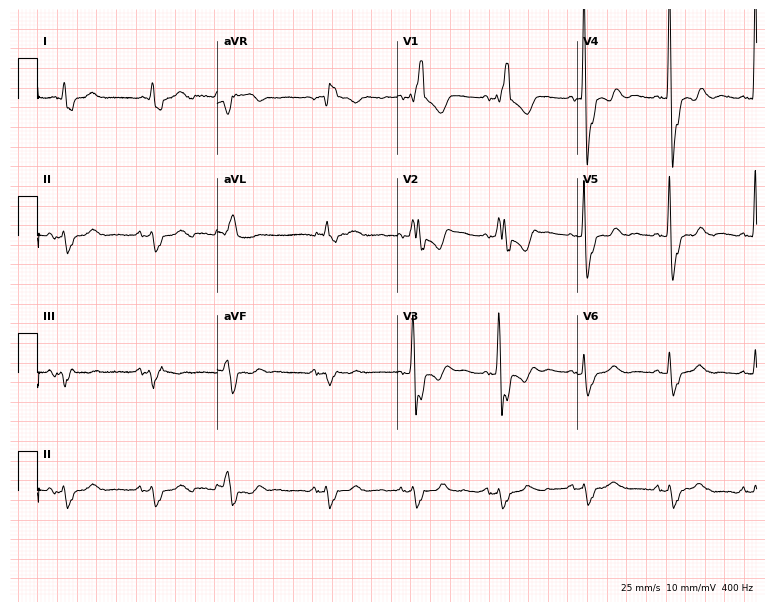
Resting 12-lead electrocardiogram. Patient: a male, 83 years old. The tracing shows right bundle branch block.